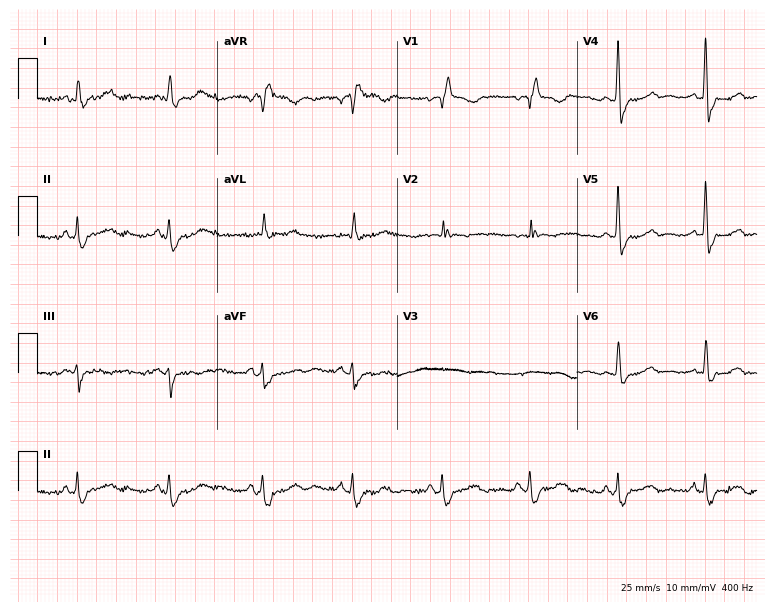
Electrocardiogram (7.3-second recording at 400 Hz), a woman, 79 years old. Interpretation includes right bundle branch block.